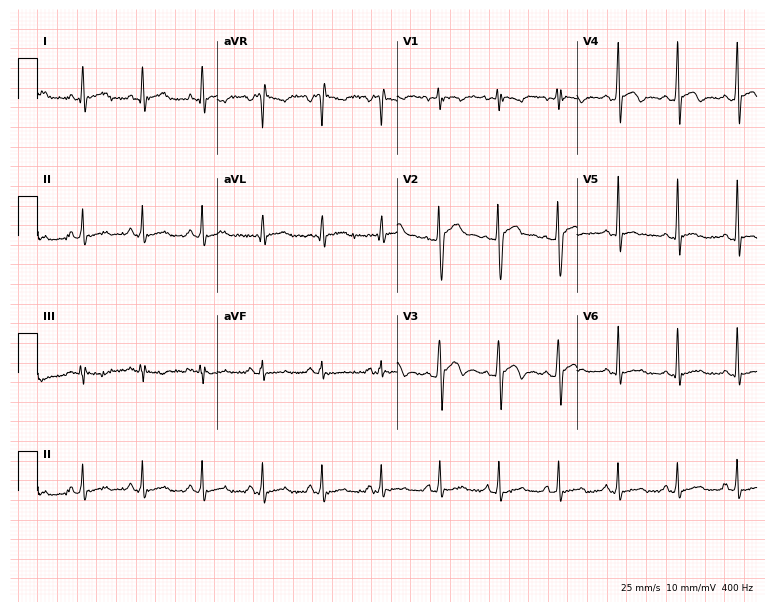
Electrocardiogram (7.3-second recording at 400 Hz), a male patient, 24 years old. Of the six screened findings (first-degree AV block, right bundle branch block, left bundle branch block, sinus bradycardia, atrial fibrillation, sinus tachycardia), none is recorded.